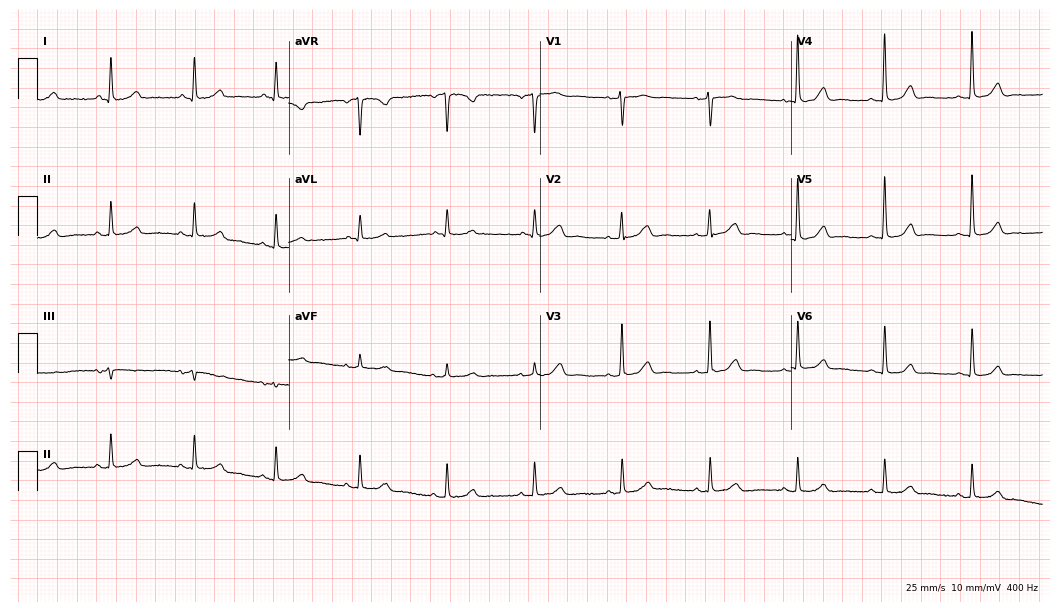
Standard 12-lead ECG recorded from a female, 55 years old. Read as a normal ECG.